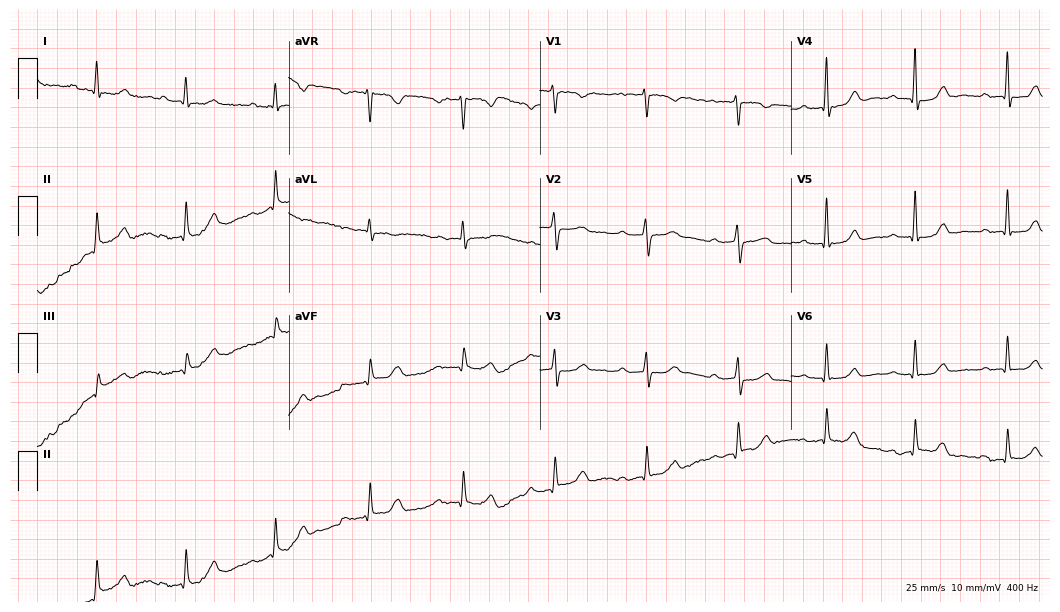
Resting 12-lead electrocardiogram. Patient: a female, 55 years old. The tracing shows first-degree AV block.